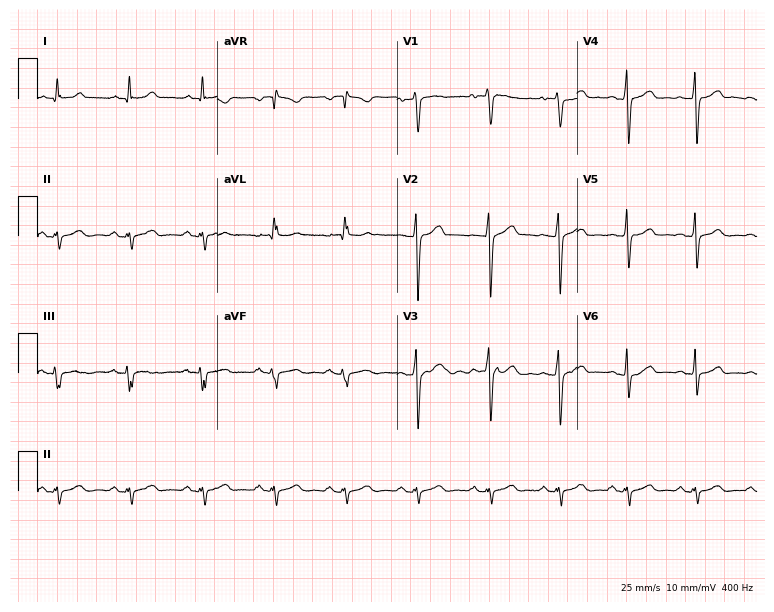
Standard 12-lead ECG recorded from a male, 37 years old (7.3-second recording at 400 Hz). None of these six findings is recorded: first-degree AV block, right bundle branch block (RBBB), left bundle branch block (LBBB), sinus bradycardia, atrial fibrillation (AF), sinus tachycardia. Only these six findings were labelled.